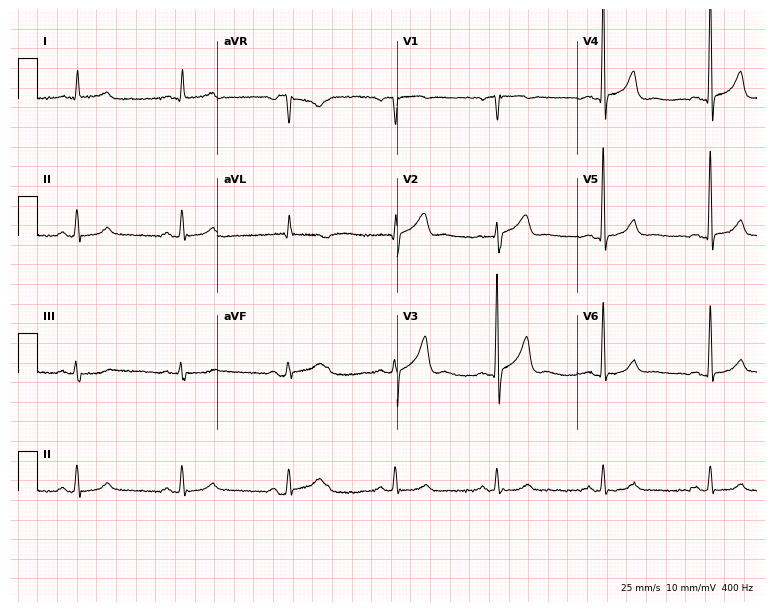
12-lead ECG (7.3-second recording at 400 Hz) from a 69-year-old male. Labelled as a normal ECG.